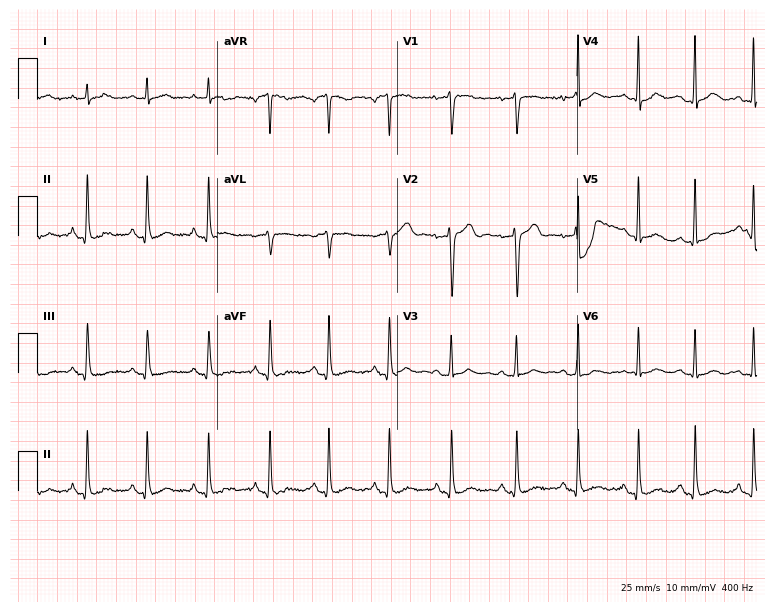
ECG (7.3-second recording at 400 Hz) — a female patient, 25 years old. Screened for six findings — first-degree AV block, right bundle branch block, left bundle branch block, sinus bradycardia, atrial fibrillation, sinus tachycardia — none is recorded. Other findings, if any, are not listed.